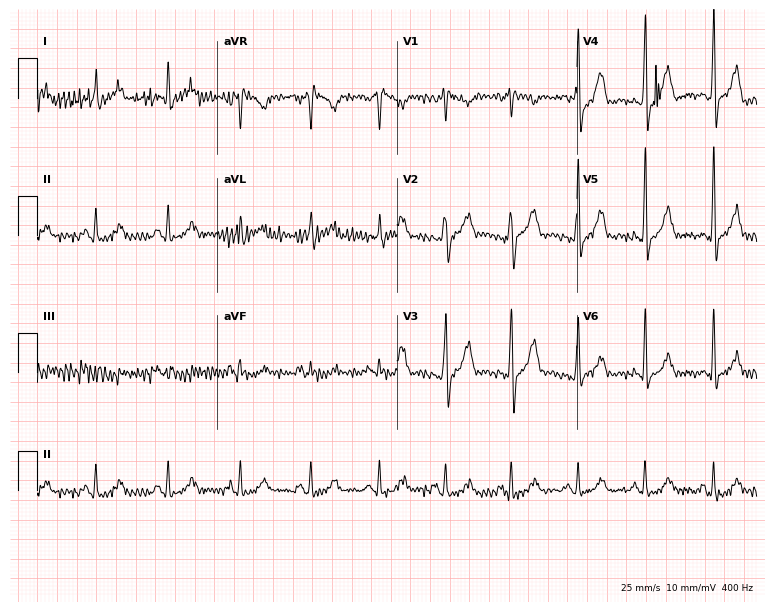
ECG — a 46-year-old man. Labelled as a normal ECG.